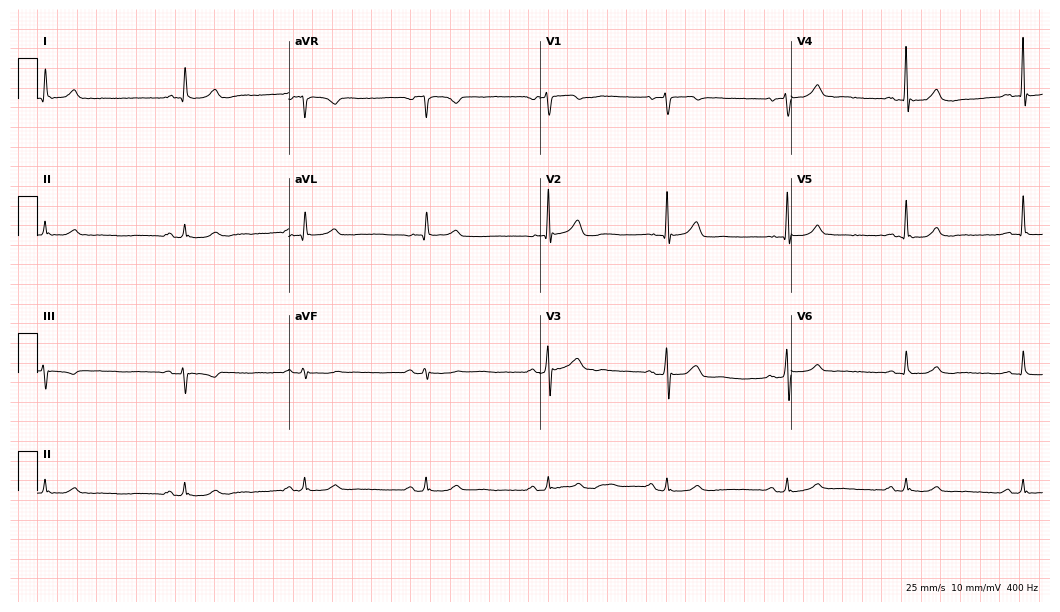
ECG (10.2-second recording at 400 Hz) — a man, 63 years old. Findings include sinus bradycardia (a sinus rate of 50 beats per minute or less).